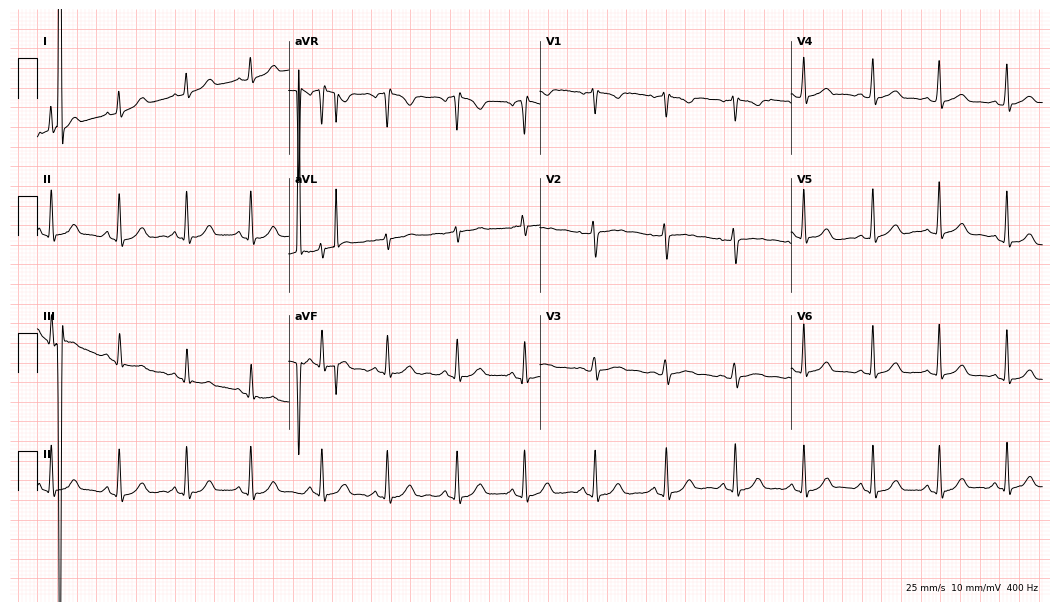
Electrocardiogram (10.2-second recording at 400 Hz), a 48-year-old female patient. Of the six screened findings (first-degree AV block, right bundle branch block (RBBB), left bundle branch block (LBBB), sinus bradycardia, atrial fibrillation (AF), sinus tachycardia), none is recorded. Other findings, if any, are not listed.